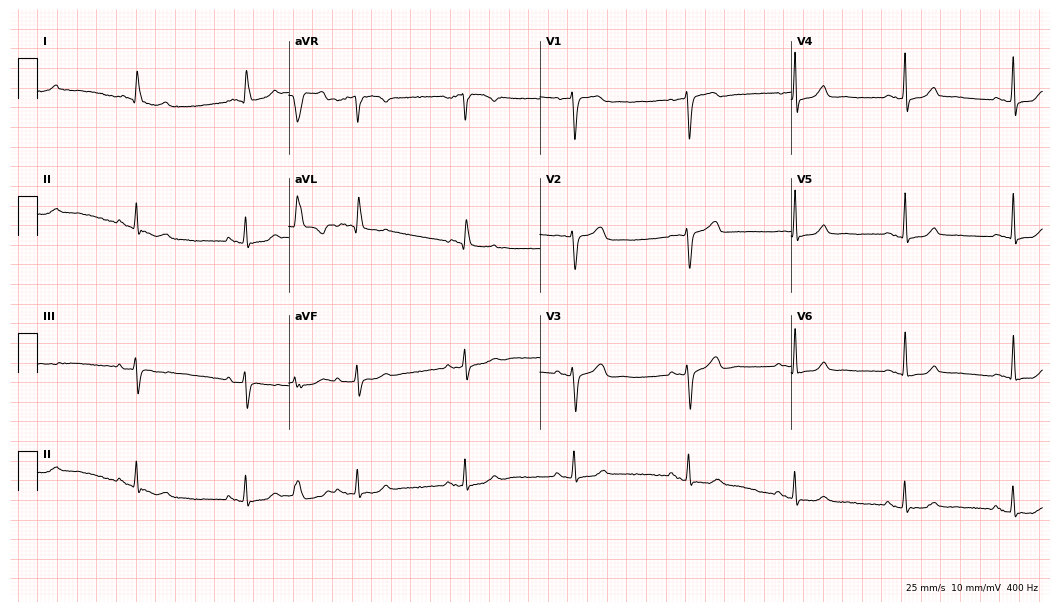
Electrocardiogram, a female, 71 years old. Overall reading on record: normal ECG.